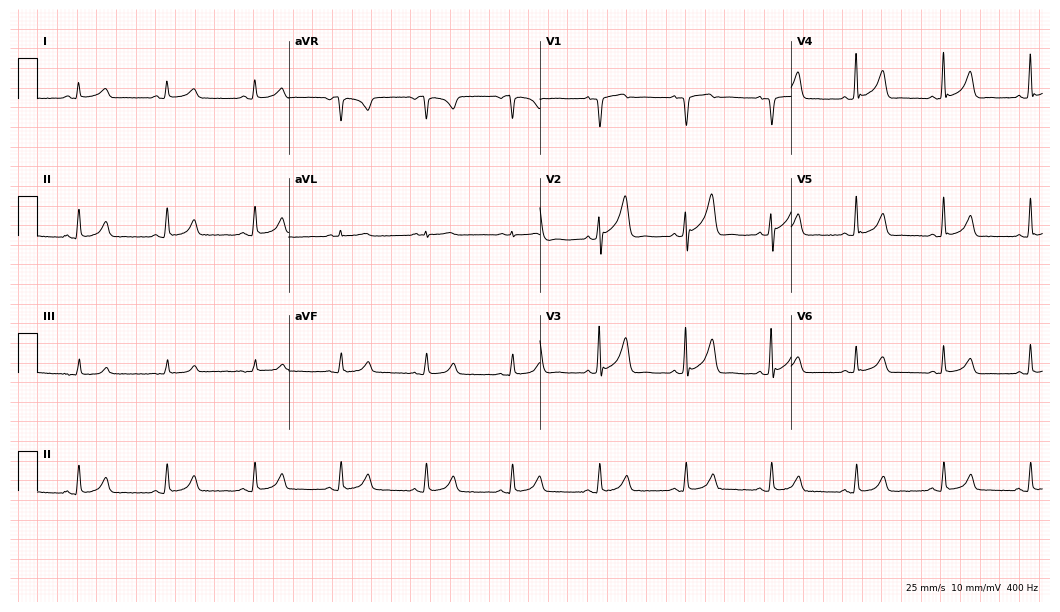
Standard 12-lead ECG recorded from a male patient, 58 years old. Read as a normal ECG.